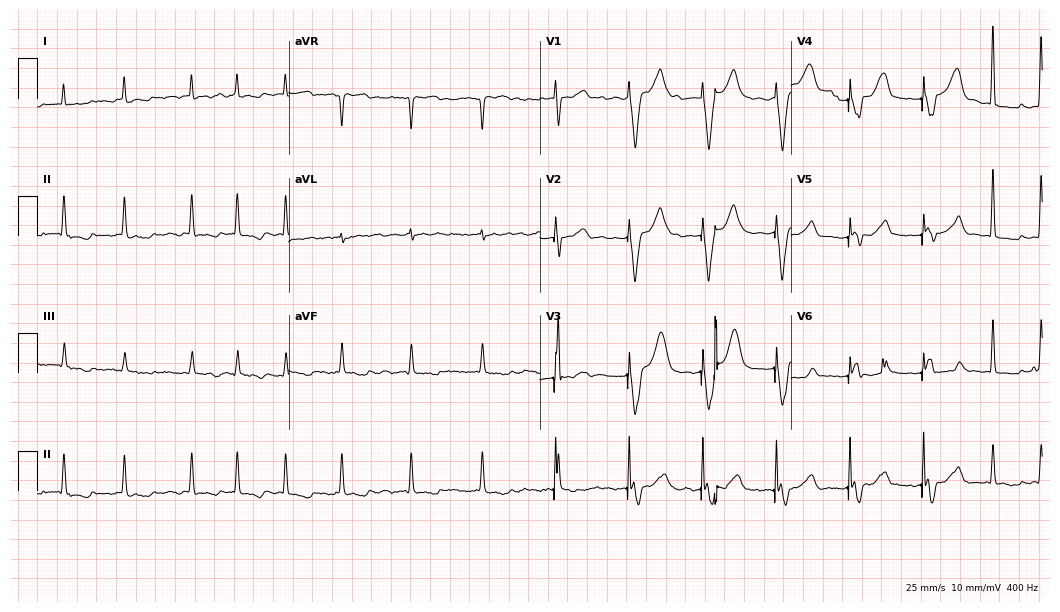
12-lead ECG (10.2-second recording at 400 Hz) from a woman, 77 years old. Findings include atrial fibrillation (AF).